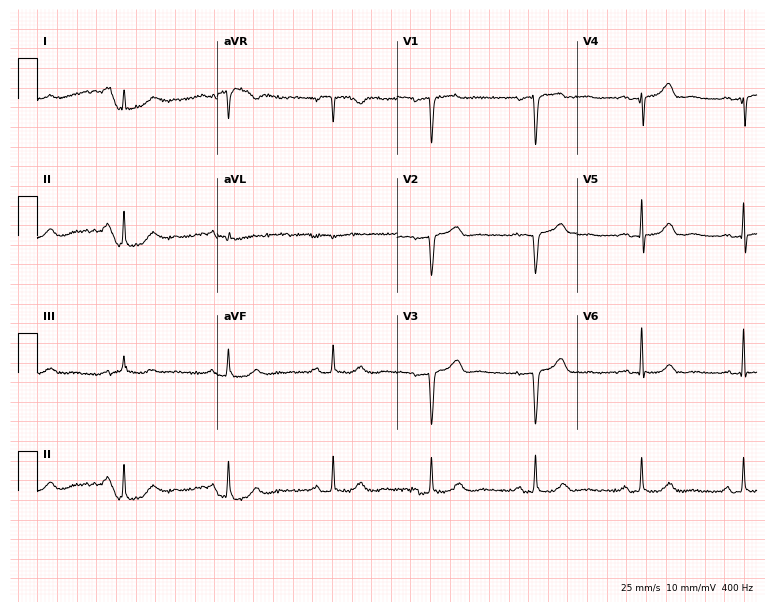
Resting 12-lead electrocardiogram. Patient: a 70-year-old woman. None of these six findings is recorded: first-degree AV block, right bundle branch block (RBBB), left bundle branch block (LBBB), sinus bradycardia, atrial fibrillation (AF), sinus tachycardia. Other findings, if any, are not listed.